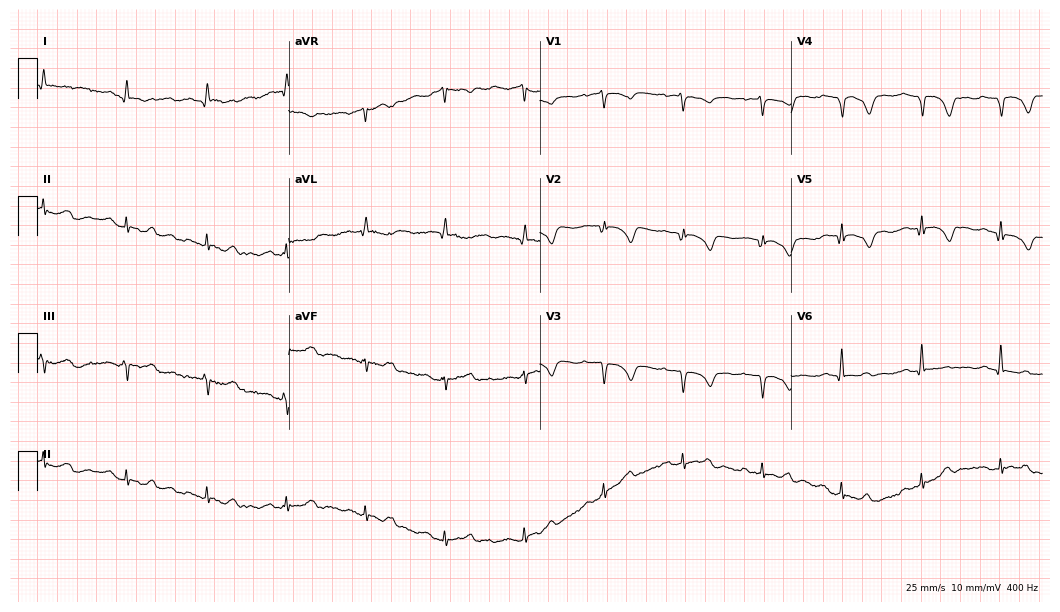
Resting 12-lead electrocardiogram (10.2-second recording at 400 Hz). Patient: an 84-year-old male. None of these six findings is recorded: first-degree AV block, right bundle branch block, left bundle branch block, sinus bradycardia, atrial fibrillation, sinus tachycardia. Findings outside these six are not listed.